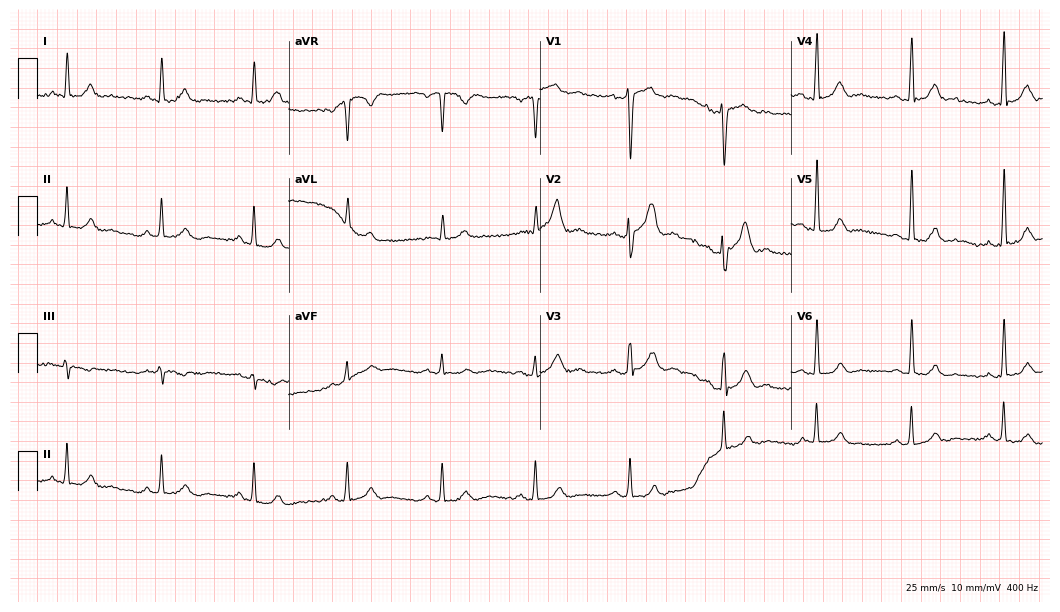
ECG — a male patient, 45 years old. Screened for six findings — first-degree AV block, right bundle branch block, left bundle branch block, sinus bradycardia, atrial fibrillation, sinus tachycardia — none is recorded.